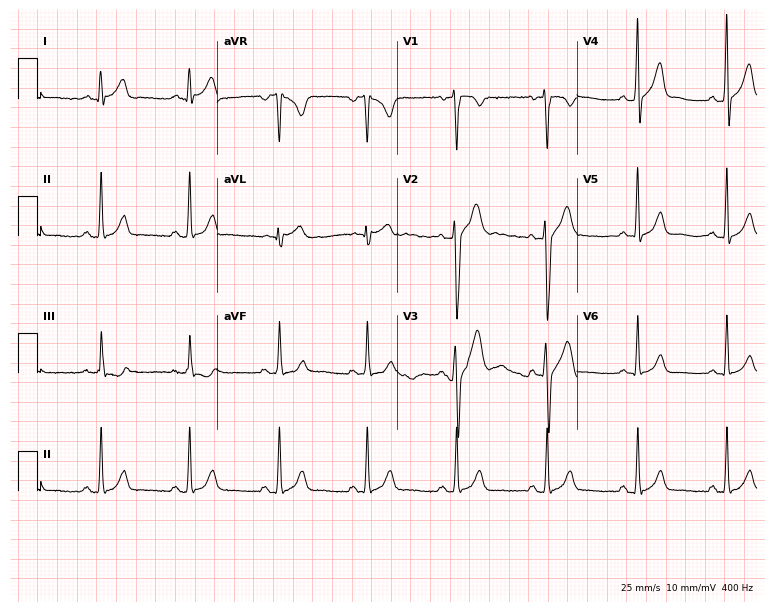
ECG (7.3-second recording at 400 Hz) — a 46-year-old male. Labelled as a normal ECG.